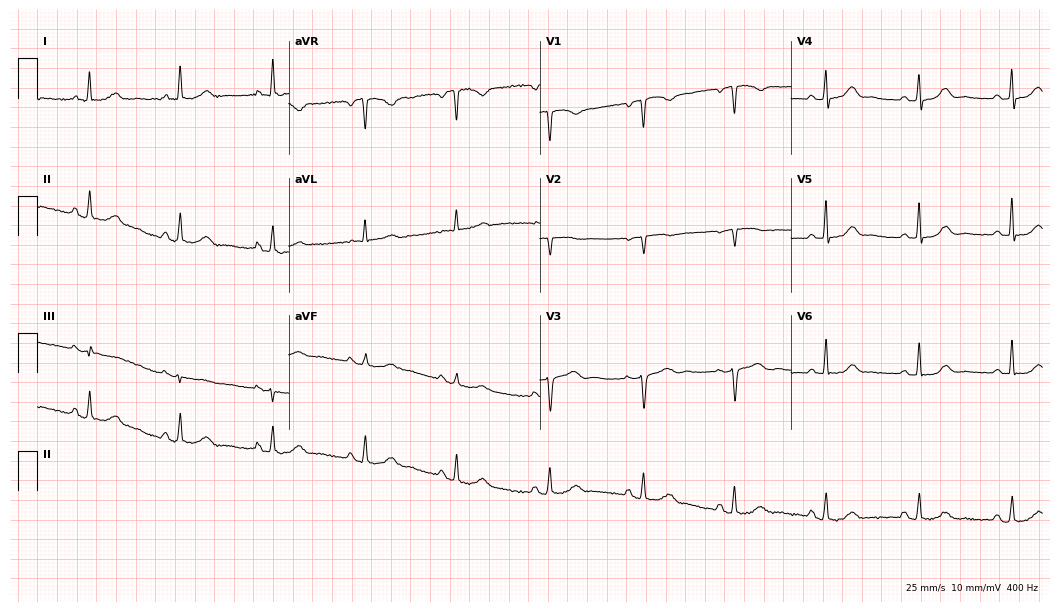
ECG — a 63-year-old female patient. Screened for six findings — first-degree AV block, right bundle branch block, left bundle branch block, sinus bradycardia, atrial fibrillation, sinus tachycardia — none is recorded. Findings outside these six are not listed.